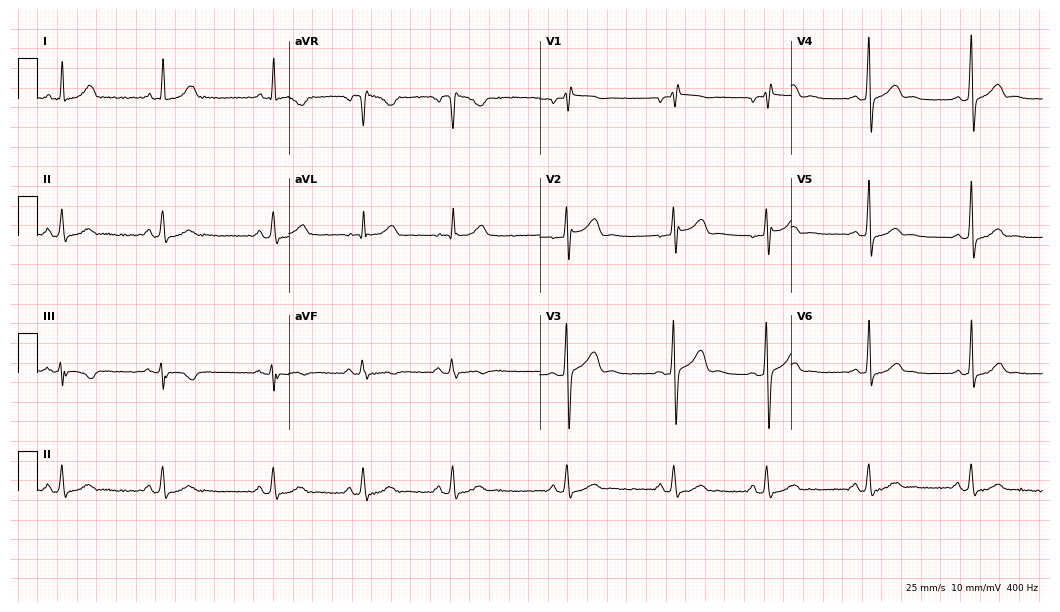
Resting 12-lead electrocardiogram (10.2-second recording at 400 Hz). Patient: a 40-year-old woman. None of these six findings is recorded: first-degree AV block, right bundle branch block, left bundle branch block, sinus bradycardia, atrial fibrillation, sinus tachycardia.